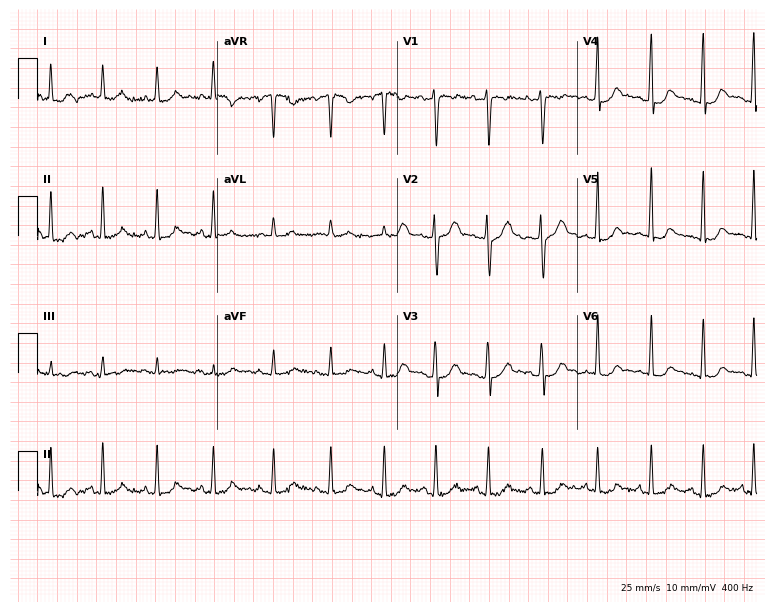
Electrocardiogram (7.3-second recording at 400 Hz), a 29-year-old female patient. Interpretation includes sinus tachycardia (a sinus rate of 100 beats per minute or more).